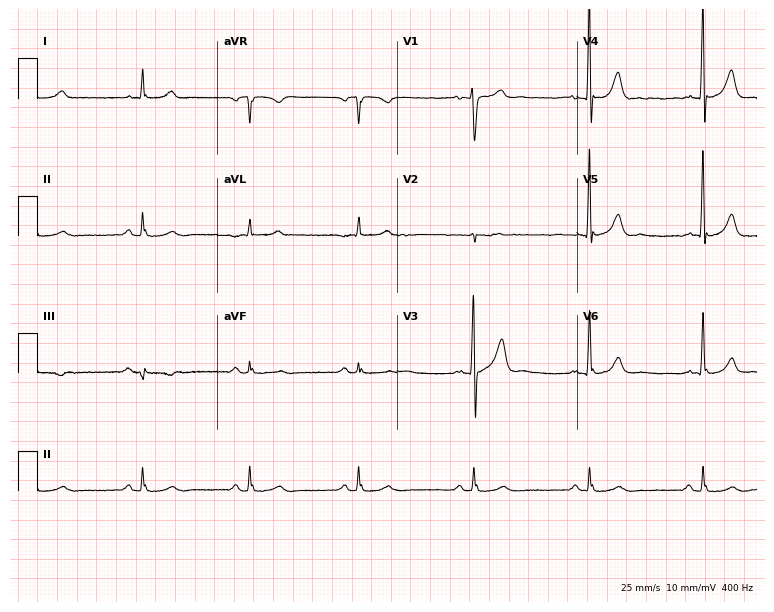
12-lead ECG (7.3-second recording at 400 Hz) from a man, 73 years old. Labelled as a normal ECG.